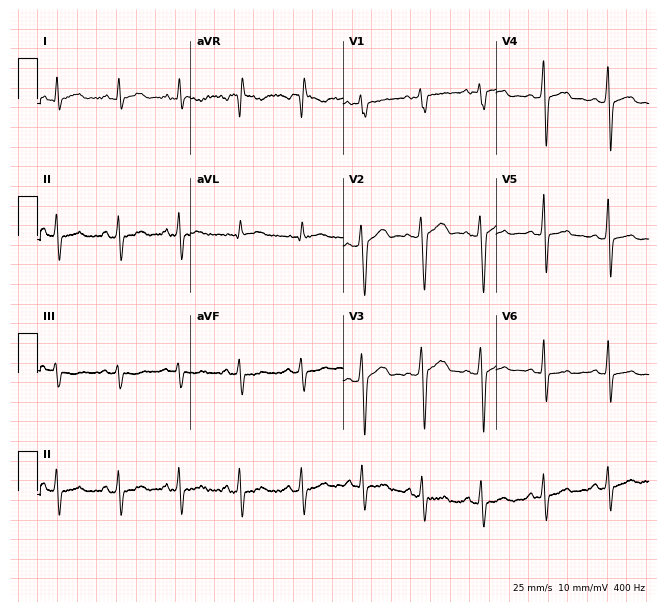
ECG — a male, 32 years old. Screened for six findings — first-degree AV block, right bundle branch block, left bundle branch block, sinus bradycardia, atrial fibrillation, sinus tachycardia — none is recorded.